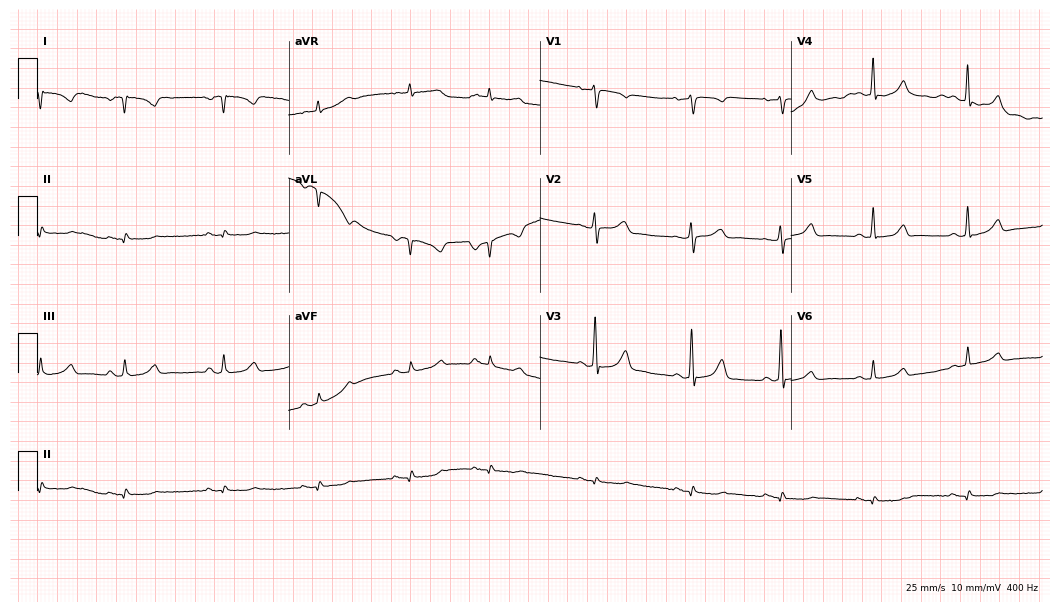
Resting 12-lead electrocardiogram. Patient: a 47-year-old female. None of these six findings is recorded: first-degree AV block, right bundle branch block (RBBB), left bundle branch block (LBBB), sinus bradycardia, atrial fibrillation (AF), sinus tachycardia.